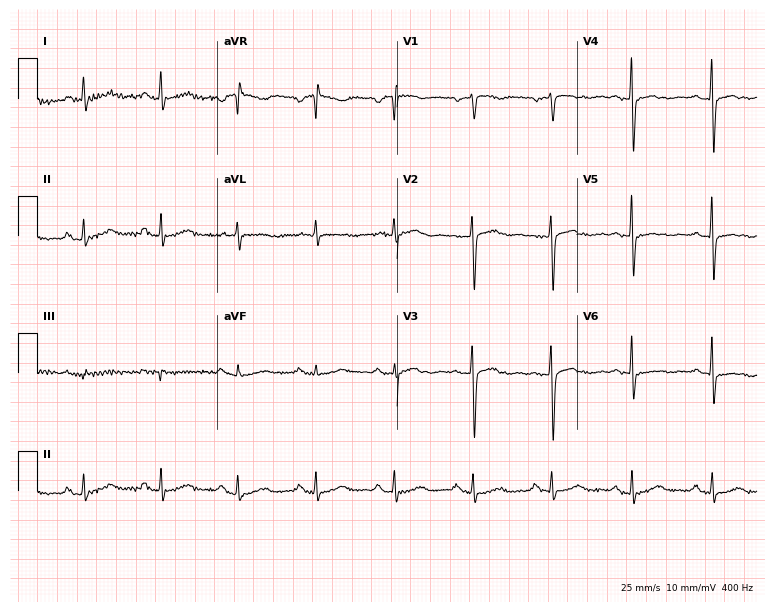
12-lead ECG from a 78-year-old woman (7.3-second recording at 400 Hz). No first-degree AV block, right bundle branch block, left bundle branch block, sinus bradycardia, atrial fibrillation or sinus tachycardia recorded for this tracing.